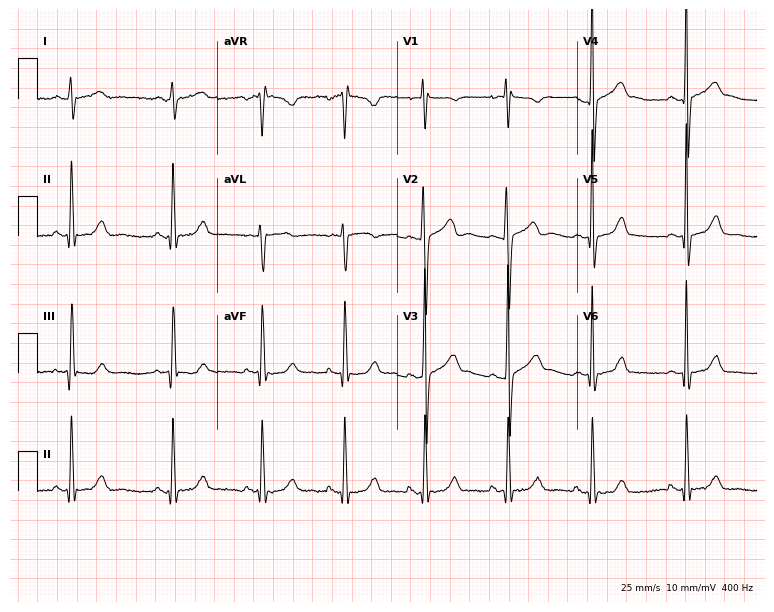
Standard 12-lead ECG recorded from a male, 17 years old (7.3-second recording at 400 Hz). Read as a normal ECG.